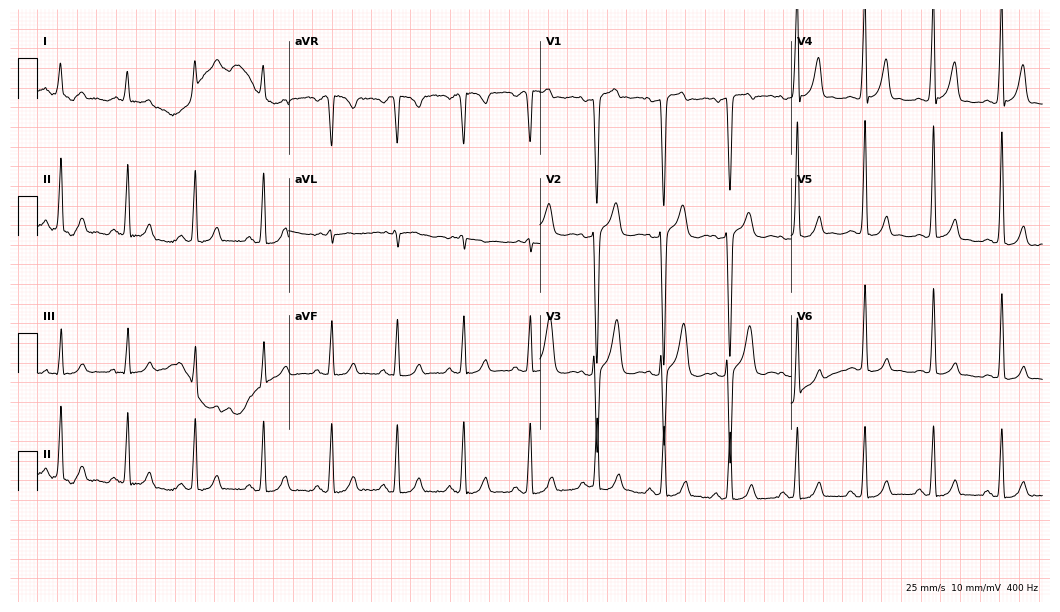
Resting 12-lead electrocardiogram (10.2-second recording at 400 Hz). Patient: a 36-year-old man. Read as a normal ECG.